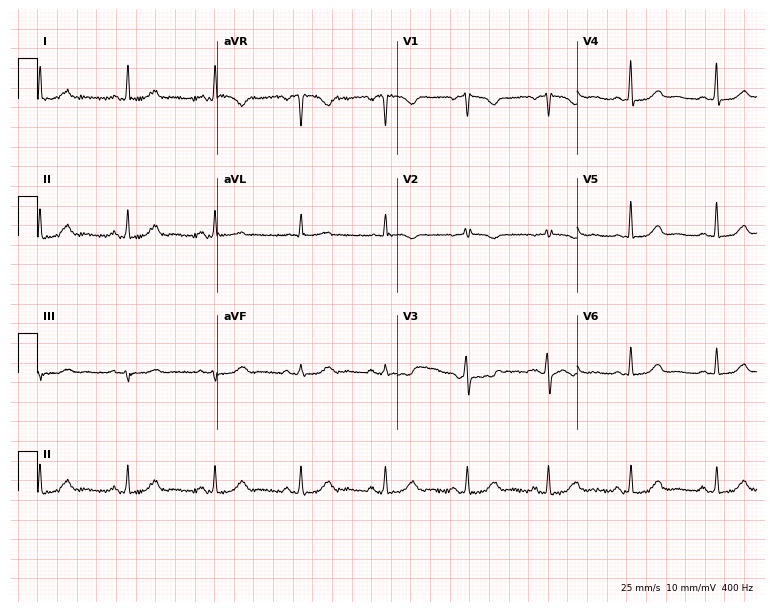
12-lead ECG from a 51-year-old female (7.3-second recording at 400 Hz). No first-degree AV block, right bundle branch block, left bundle branch block, sinus bradycardia, atrial fibrillation or sinus tachycardia recorded for this tracing.